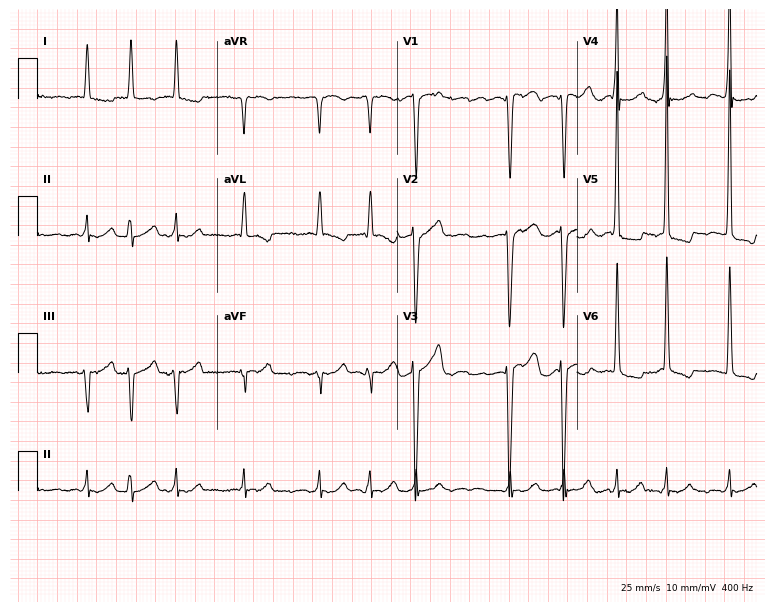
ECG (7.3-second recording at 400 Hz) — an 82-year-old female. Findings include atrial fibrillation (AF).